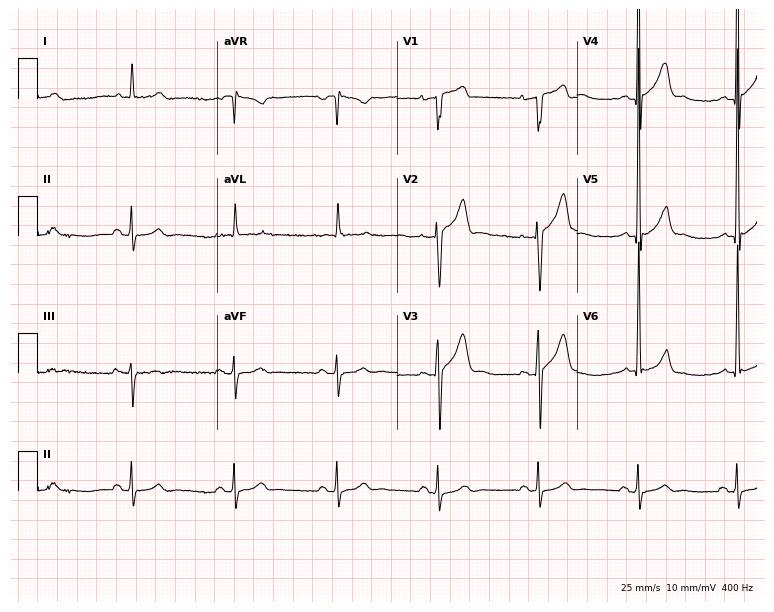
Resting 12-lead electrocardiogram. Patient: a male, 83 years old. None of these six findings is recorded: first-degree AV block, right bundle branch block, left bundle branch block, sinus bradycardia, atrial fibrillation, sinus tachycardia. Findings outside these six are not listed.